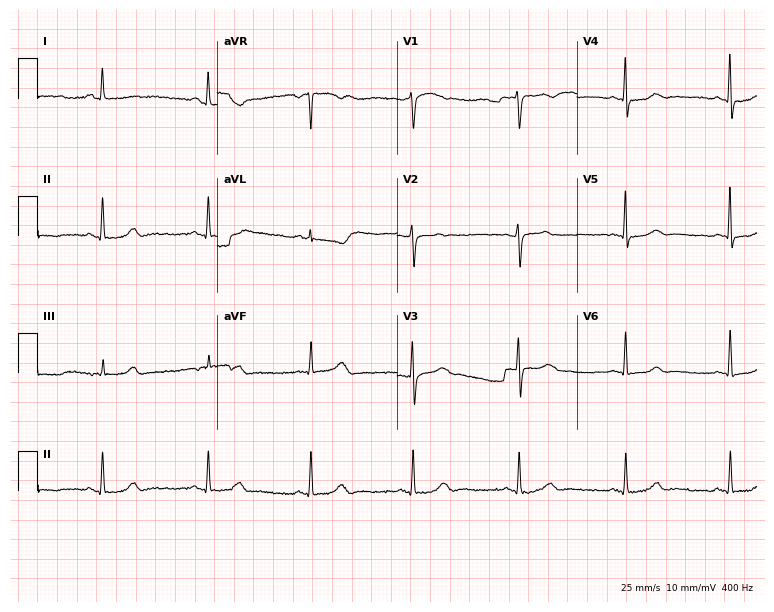
12-lead ECG from a female, 62 years old. Labelled as a normal ECG.